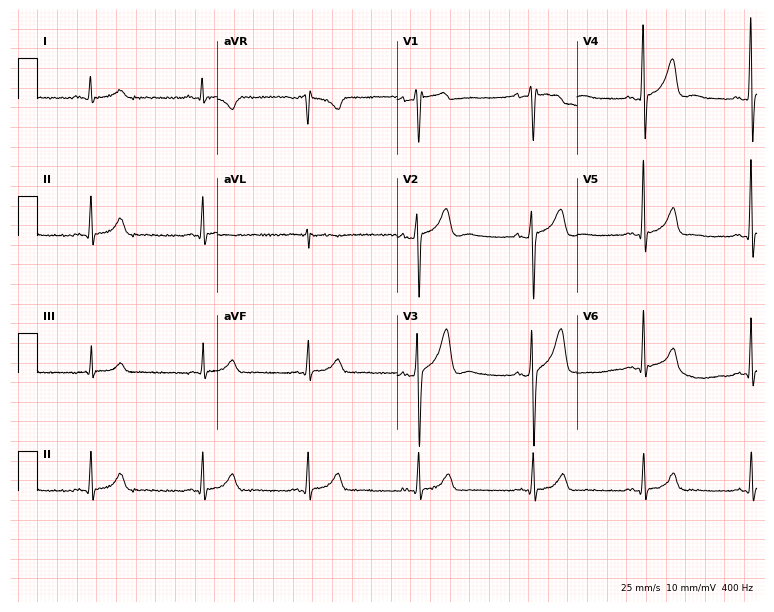
12-lead ECG (7.3-second recording at 400 Hz) from a male, 30 years old. Labelled as a normal ECG.